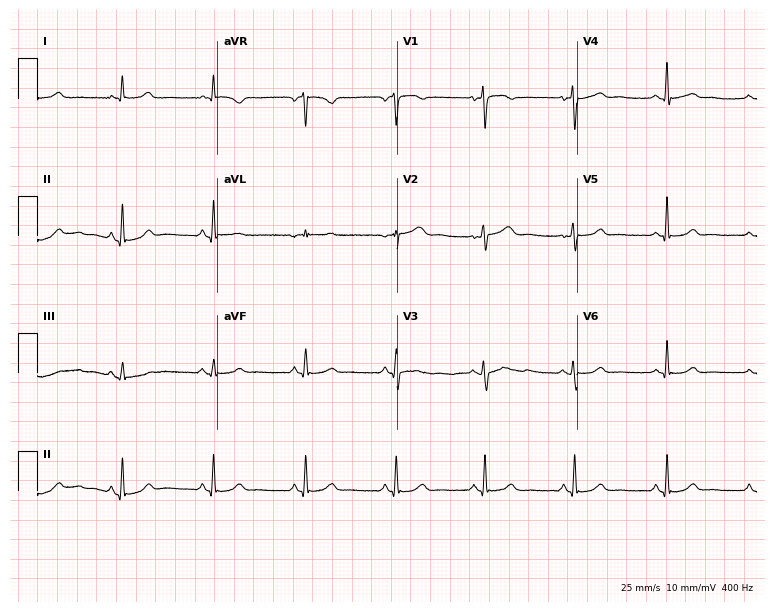
12-lead ECG from a woman, 53 years old. Recorded interpretation: within normal limits.